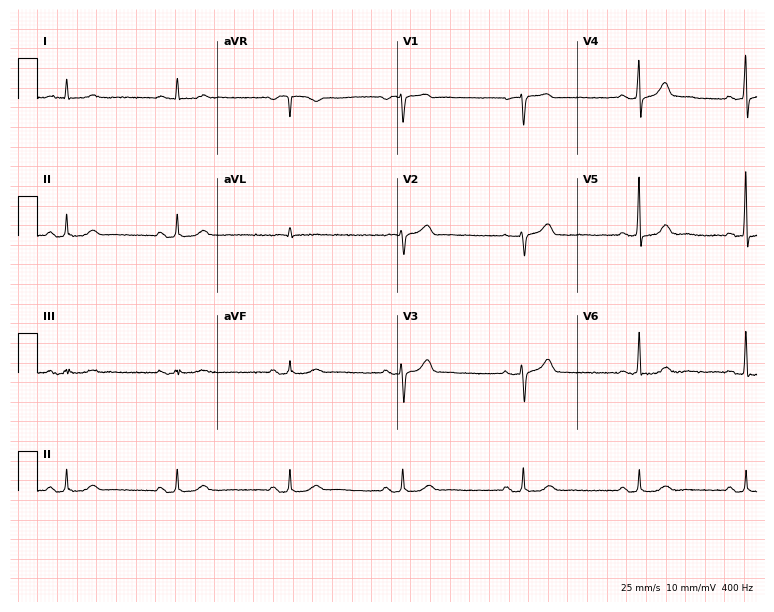
12-lead ECG (7.3-second recording at 400 Hz) from a man, 60 years old. Labelled as a normal ECG.